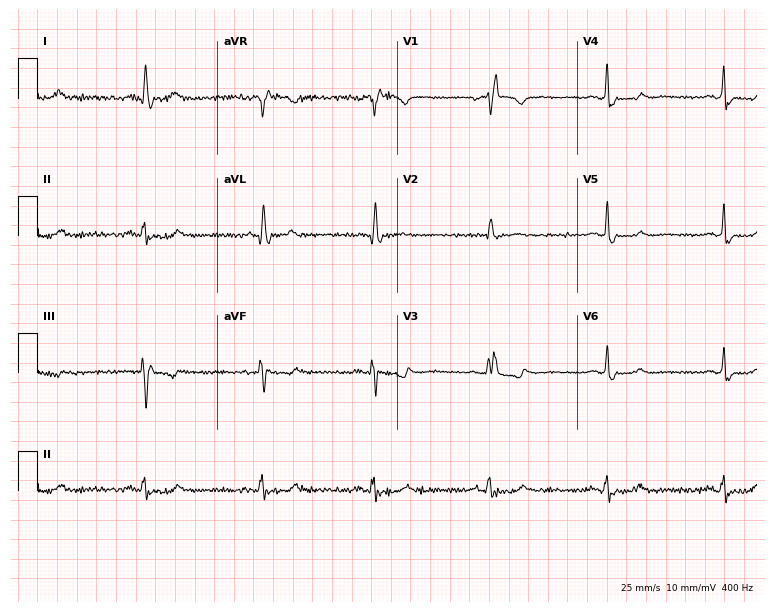
Standard 12-lead ECG recorded from a 78-year-old woman (7.3-second recording at 400 Hz). The tracing shows right bundle branch block, sinus bradycardia (a sinus rate of 50 beats per minute or less).